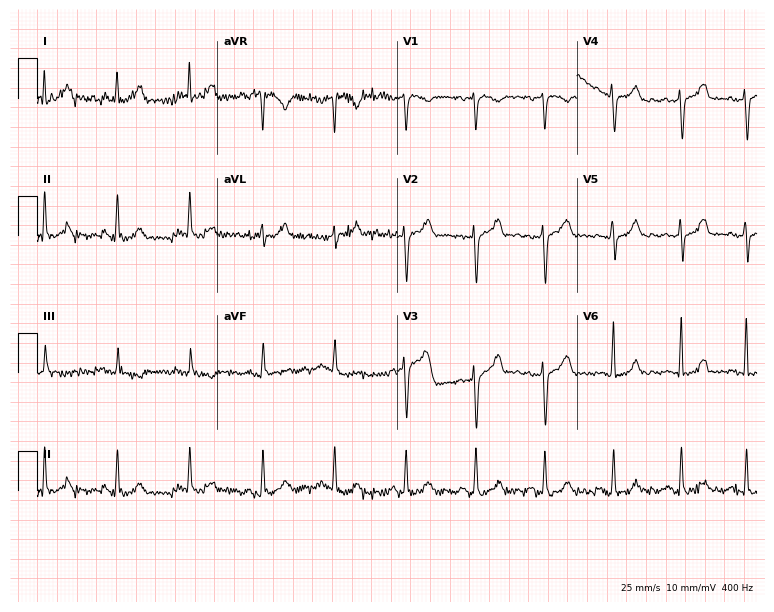
ECG — a female, 50 years old. Screened for six findings — first-degree AV block, right bundle branch block (RBBB), left bundle branch block (LBBB), sinus bradycardia, atrial fibrillation (AF), sinus tachycardia — none is recorded. Findings outside these six are not listed.